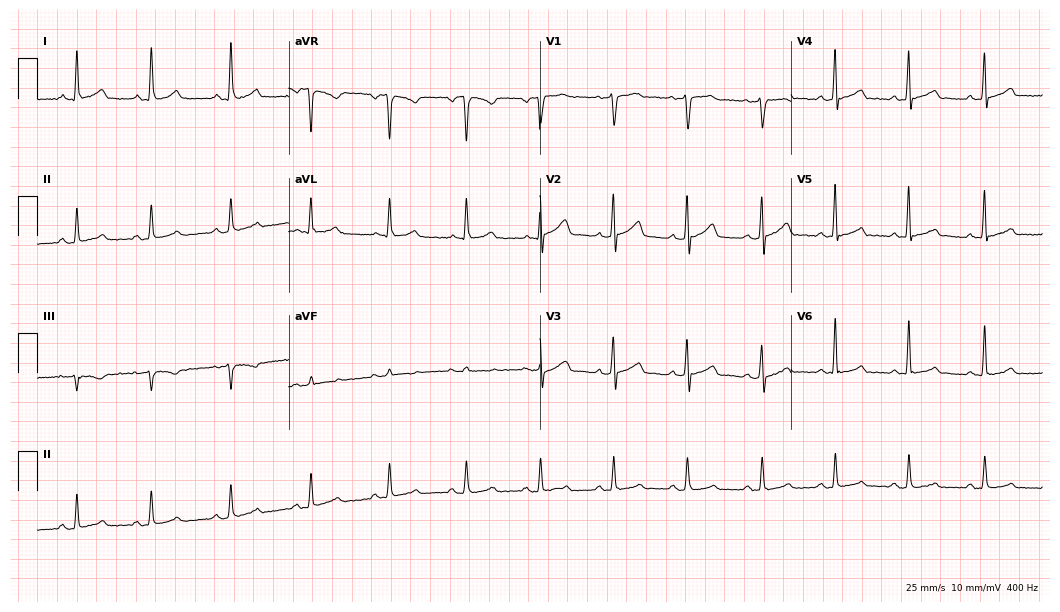
Electrocardiogram (10.2-second recording at 400 Hz), a male patient, 36 years old. Of the six screened findings (first-degree AV block, right bundle branch block, left bundle branch block, sinus bradycardia, atrial fibrillation, sinus tachycardia), none is recorded.